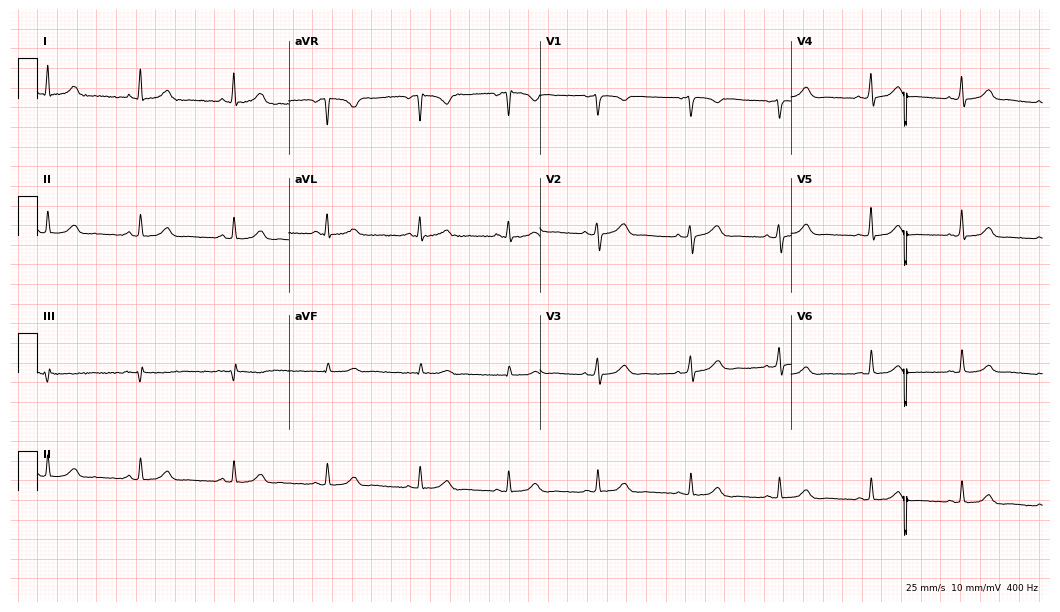
Electrocardiogram, a 42-year-old woman. Of the six screened findings (first-degree AV block, right bundle branch block, left bundle branch block, sinus bradycardia, atrial fibrillation, sinus tachycardia), none is recorded. Findings outside these six are not listed.